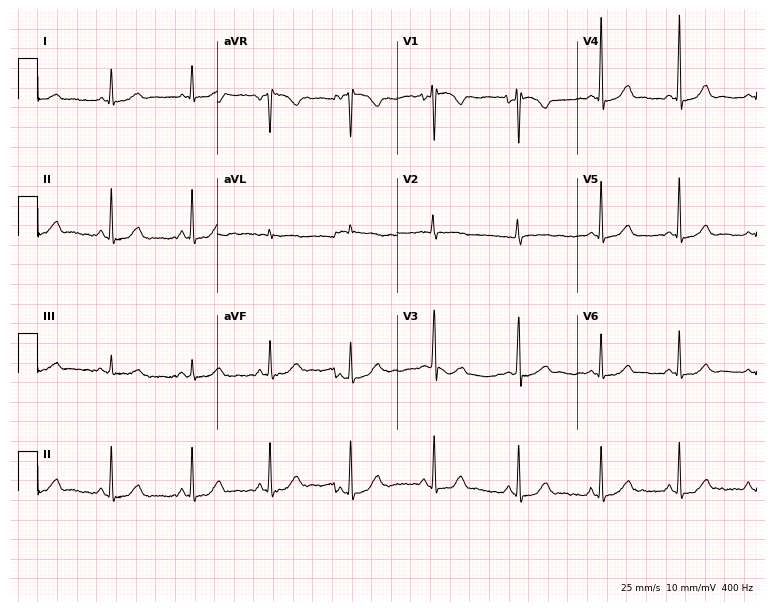
ECG — a 45-year-old female patient. Labelled as a normal ECG.